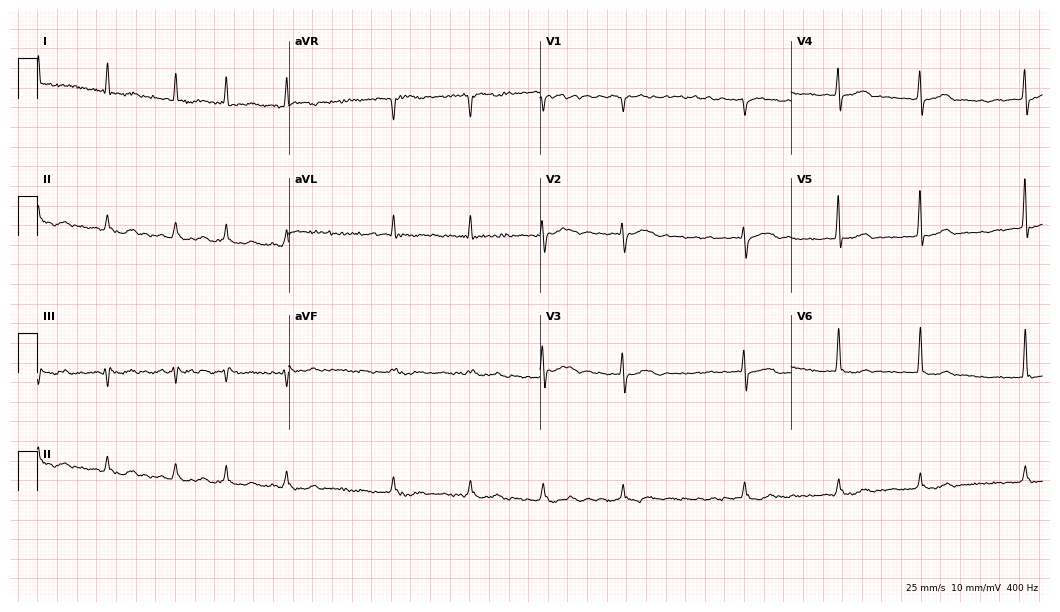
ECG — a man, 71 years old. Findings include atrial fibrillation (AF).